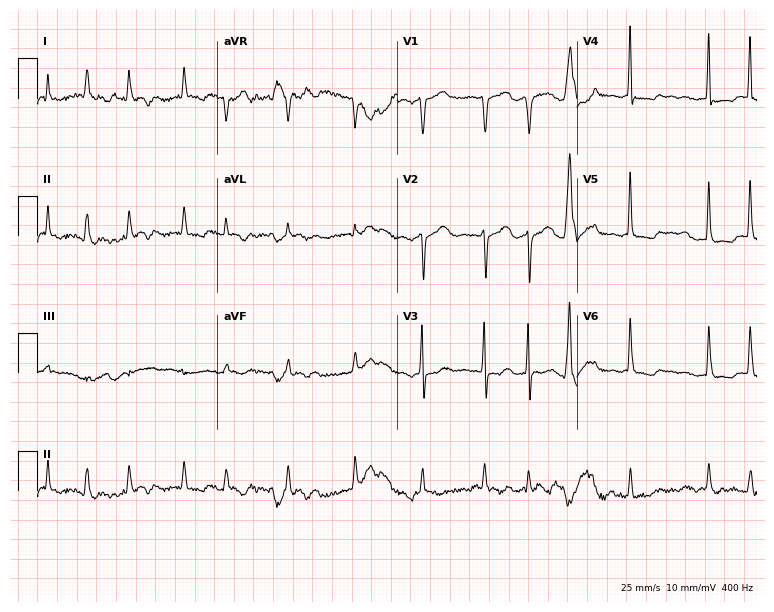
Standard 12-lead ECG recorded from a 73-year-old female patient (7.3-second recording at 400 Hz). The tracing shows atrial fibrillation.